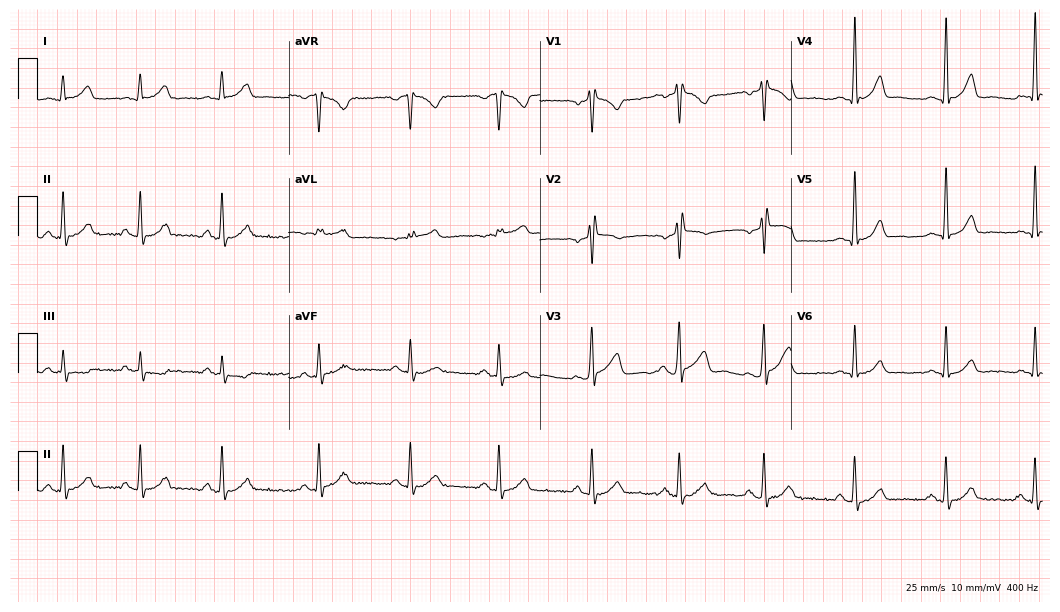
12-lead ECG (10.2-second recording at 400 Hz) from a 42-year-old man. Screened for six findings — first-degree AV block, right bundle branch block, left bundle branch block, sinus bradycardia, atrial fibrillation, sinus tachycardia — none is recorded. Other findings, if any, are not listed.